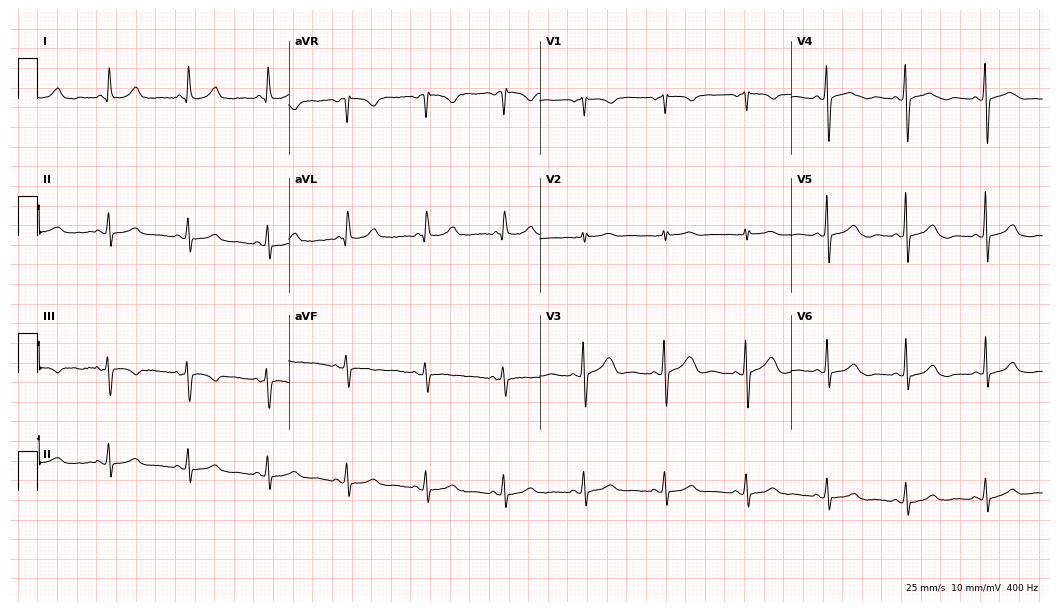
ECG (10.2-second recording at 400 Hz) — a 67-year-old woman. Labelled as a normal ECG.